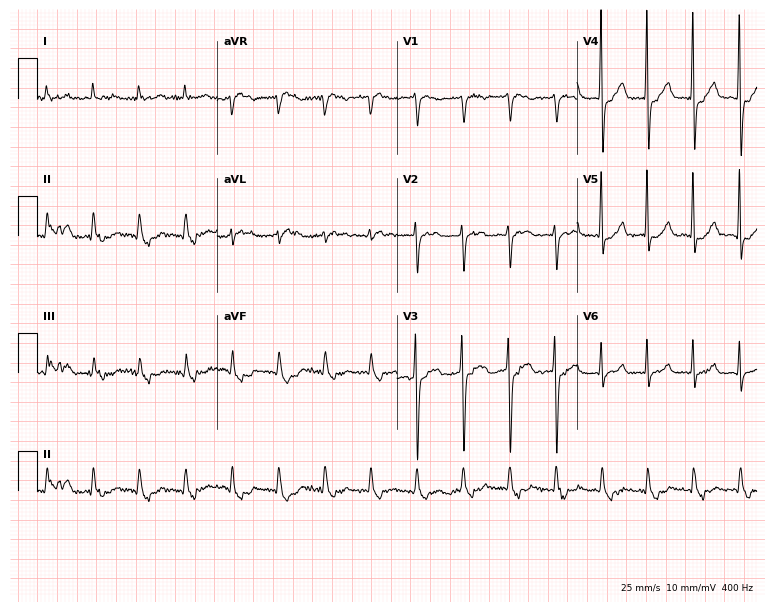
12-lead ECG (7.3-second recording at 400 Hz) from a 67-year-old female. Screened for six findings — first-degree AV block, right bundle branch block (RBBB), left bundle branch block (LBBB), sinus bradycardia, atrial fibrillation (AF), sinus tachycardia — none is recorded. Only these six findings were labelled.